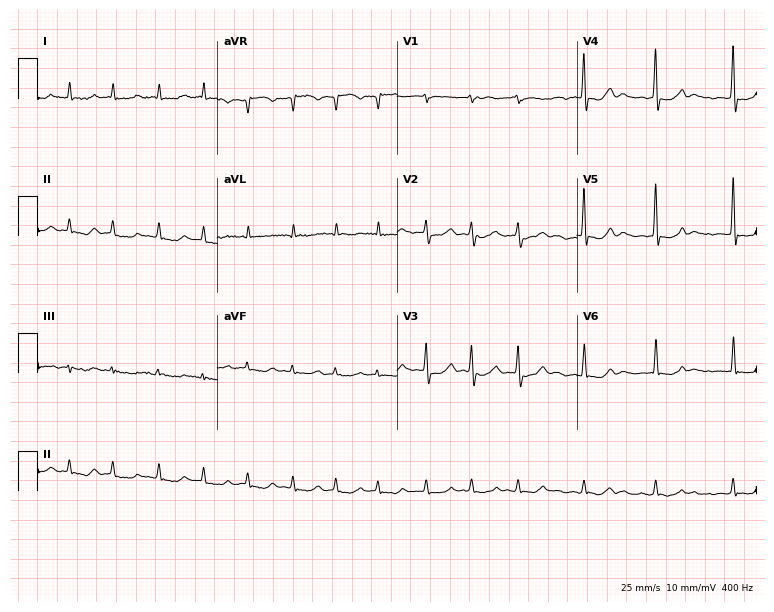
12-lead ECG (7.3-second recording at 400 Hz) from an 83-year-old male patient. Findings include atrial fibrillation.